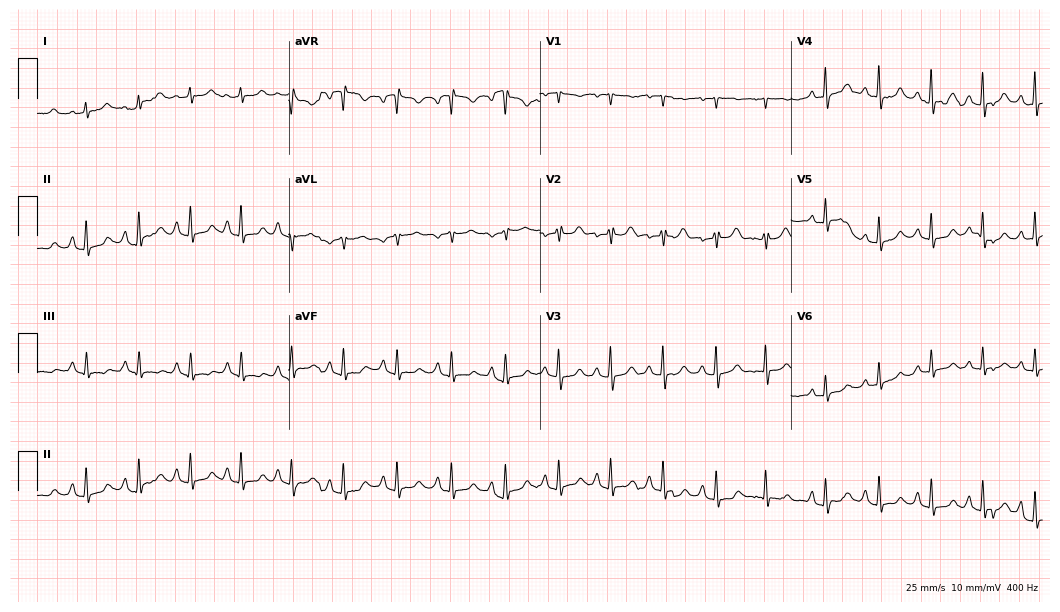
Standard 12-lead ECG recorded from a 34-year-old female. None of these six findings is recorded: first-degree AV block, right bundle branch block, left bundle branch block, sinus bradycardia, atrial fibrillation, sinus tachycardia.